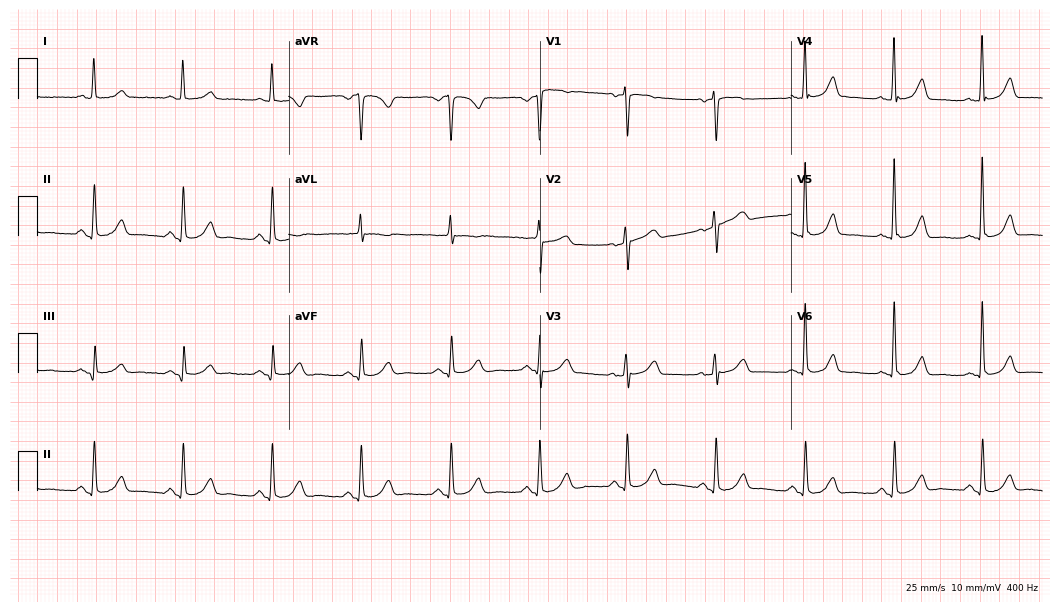
ECG (10.2-second recording at 400 Hz) — a female patient, 72 years old. Labelled as a normal ECG.